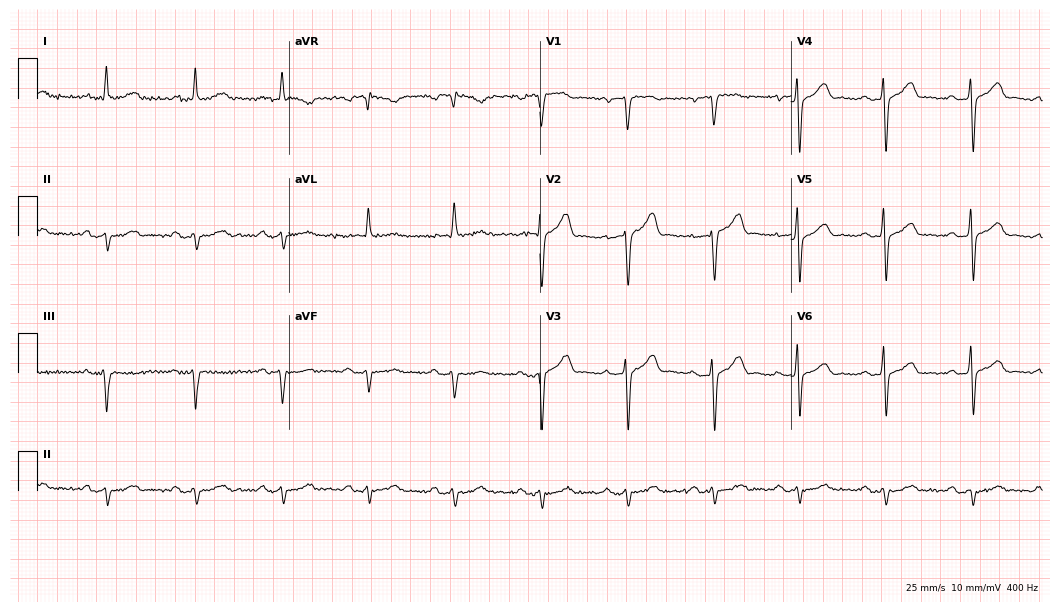
12-lead ECG (10.2-second recording at 400 Hz) from a 74-year-old male. Screened for six findings — first-degree AV block, right bundle branch block, left bundle branch block, sinus bradycardia, atrial fibrillation, sinus tachycardia — none is recorded.